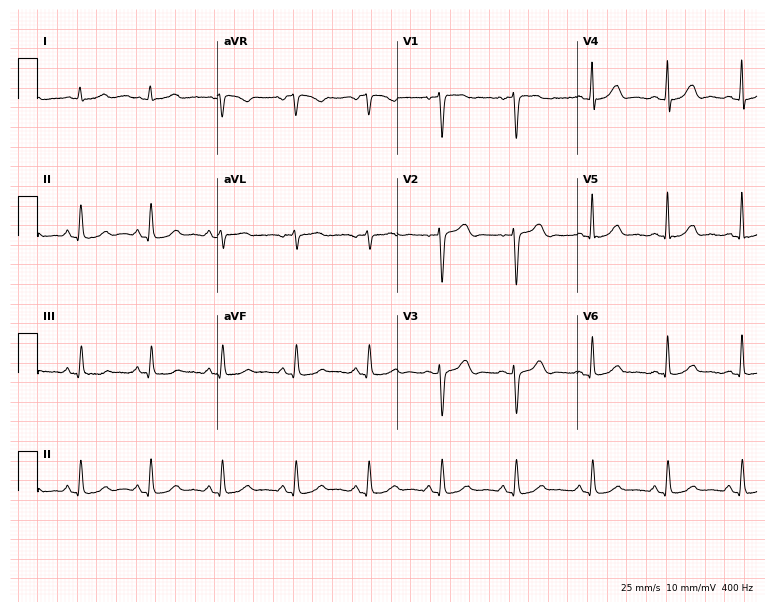
12-lead ECG from a female patient, 52 years old. Recorded interpretation: within normal limits.